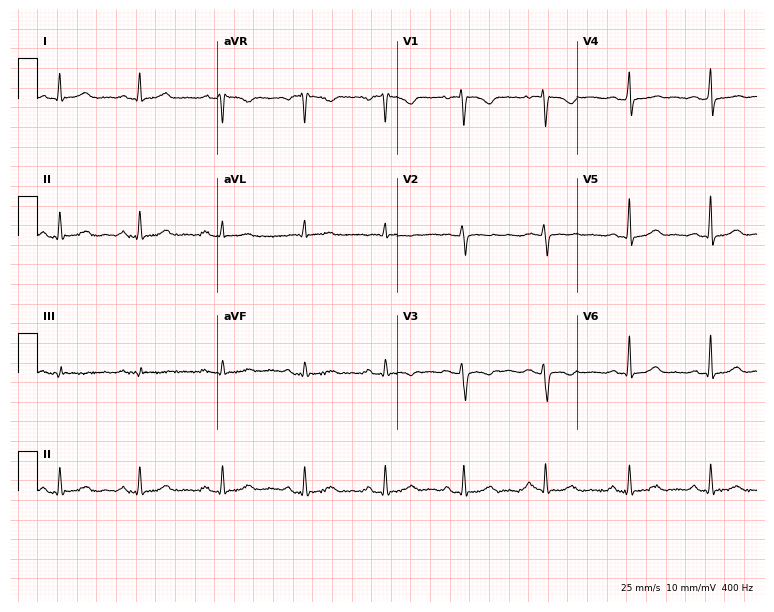
ECG — a 48-year-old female. Labelled as a normal ECG.